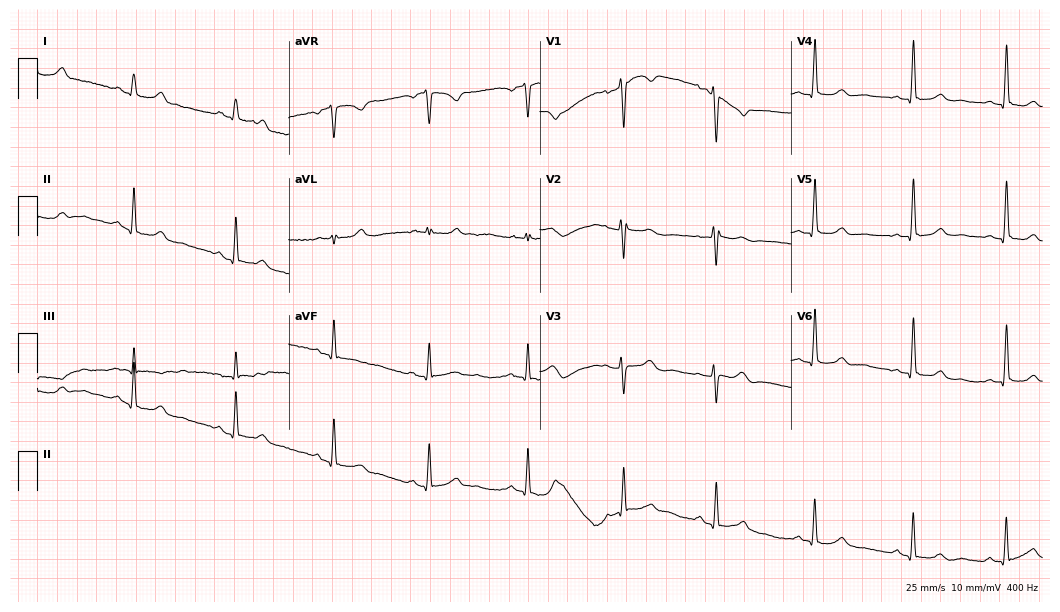
Standard 12-lead ECG recorded from a 43-year-old woman (10.2-second recording at 400 Hz). None of these six findings is recorded: first-degree AV block, right bundle branch block, left bundle branch block, sinus bradycardia, atrial fibrillation, sinus tachycardia. Only these six findings were labelled.